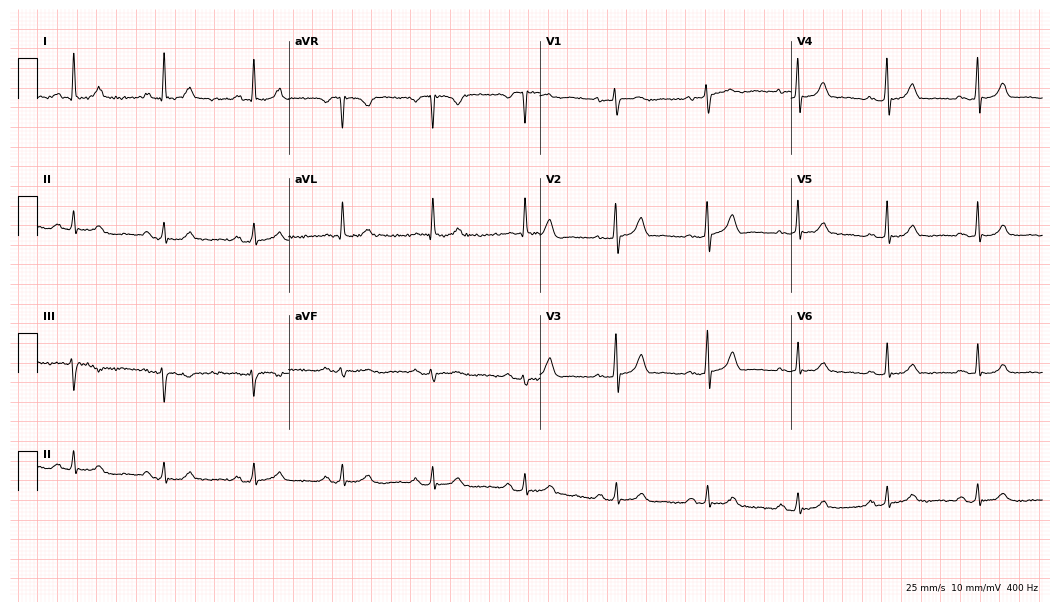
Resting 12-lead electrocardiogram. Patient: a 67-year-old female. None of these six findings is recorded: first-degree AV block, right bundle branch block, left bundle branch block, sinus bradycardia, atrial fibrillation, sinus tachycardia. Findings outside these six are not listed.